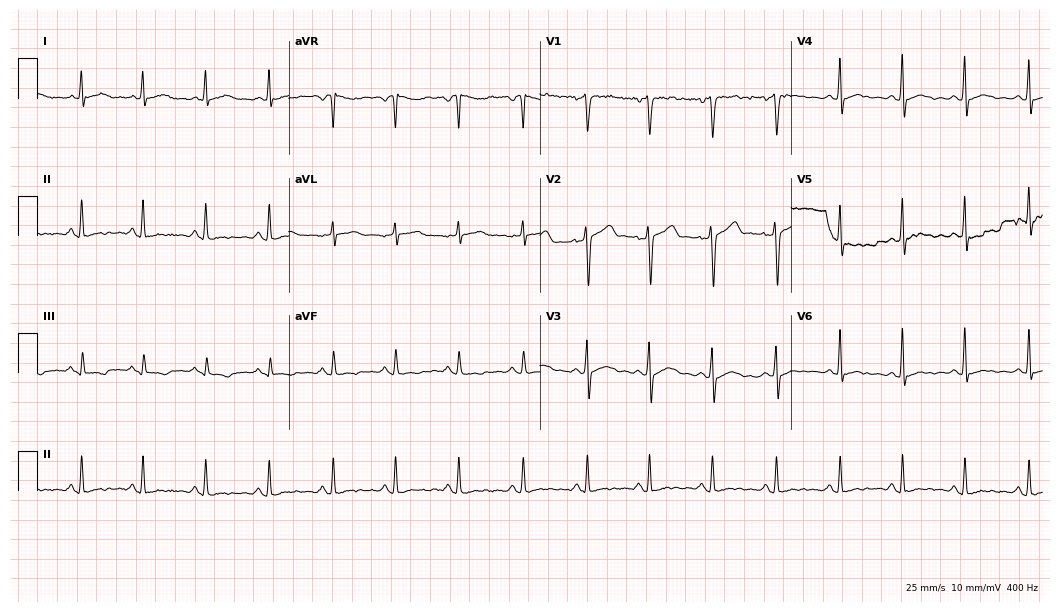
ECG — a 43-year-old female. Screened for six findings — first-degree AV block, right bundle branch block (RBBB), left bundle branch block (LBBB), sinus bradycardia, atrial fibrillation (AF), sinus tachycardia — none is recorded. Findings outside these six are not listed.